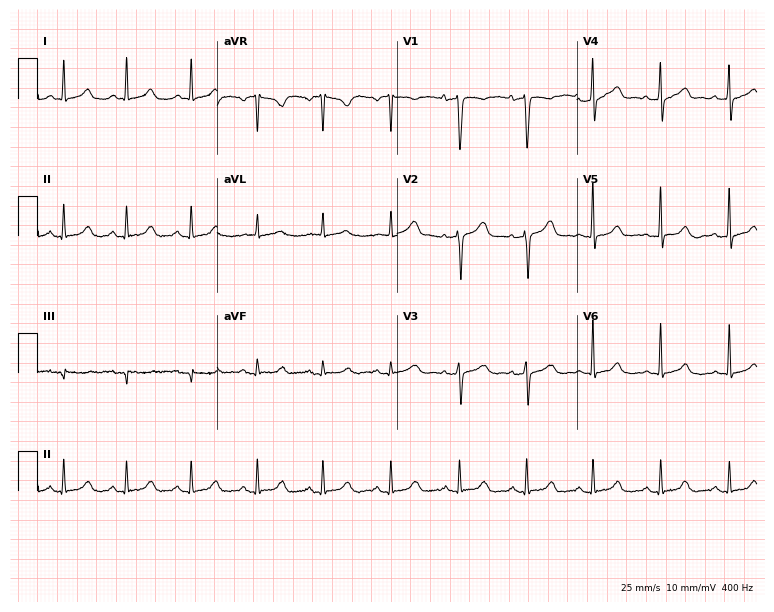
Standard 12-lead ECG recorded from a 73-year-old female patient (7.3-second recording at 400 Hz). Read as a normal ECG.